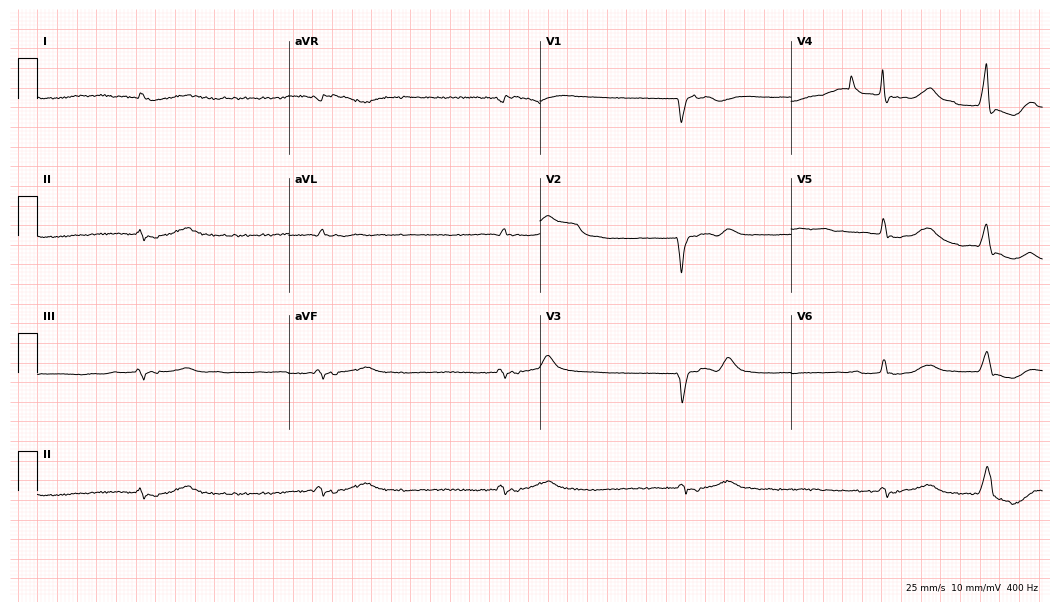
12-lead ECG from a woman, 82 years old (10.2-second recording at 400 Hz). Shows atrial fibrillation.